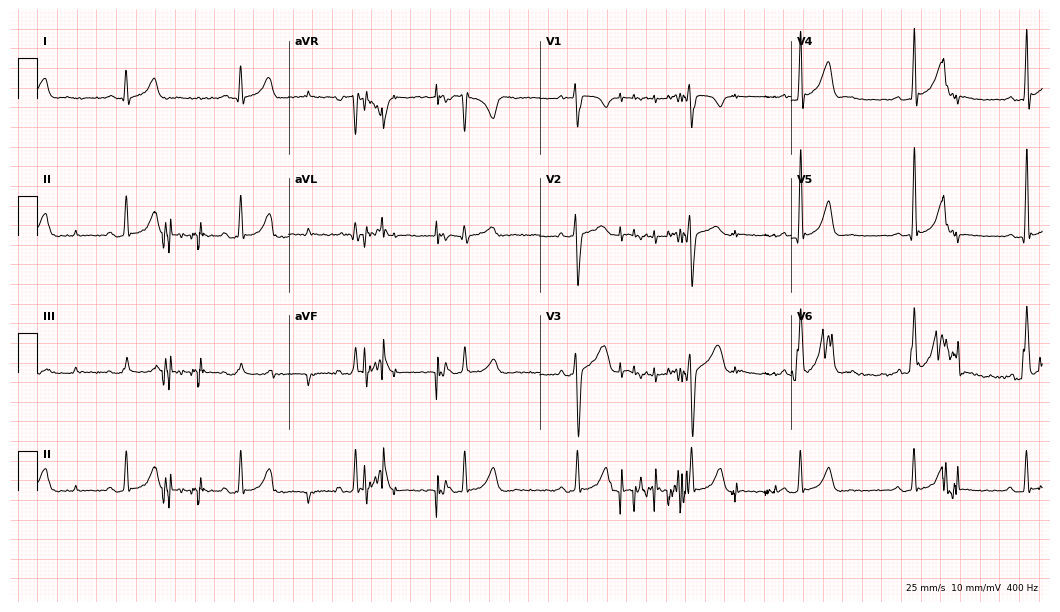
Electrocardiogram, a male patient, 25 years old. Overall reading on record: normal ECG.